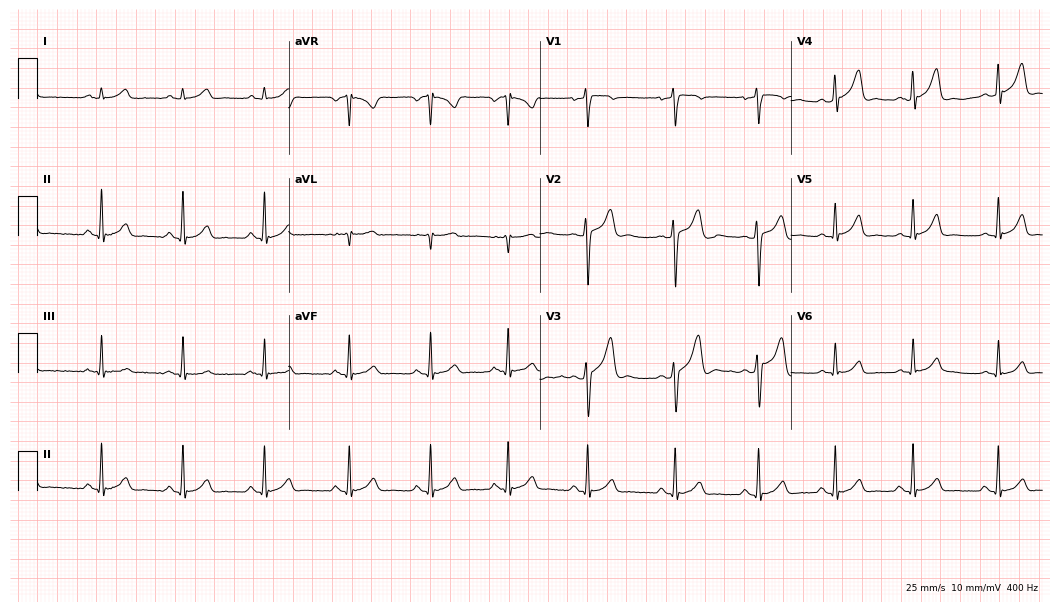
12-lead ECG from a man, 17 years old. Recorded interpretation: within normal limits.